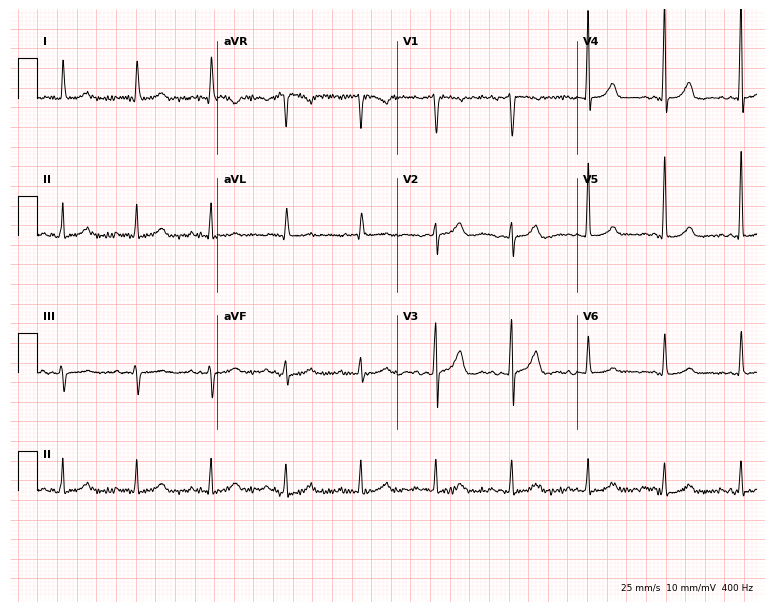
Electrocardiogram, a female, 79 years old. Of the six screened findings (first-degree AV block, right bundle branch block, left bundle branch block, sinus bradycardia, atrial fibrillation, sinus tachycardia), none is recorded. Findings outside these six are not listed.